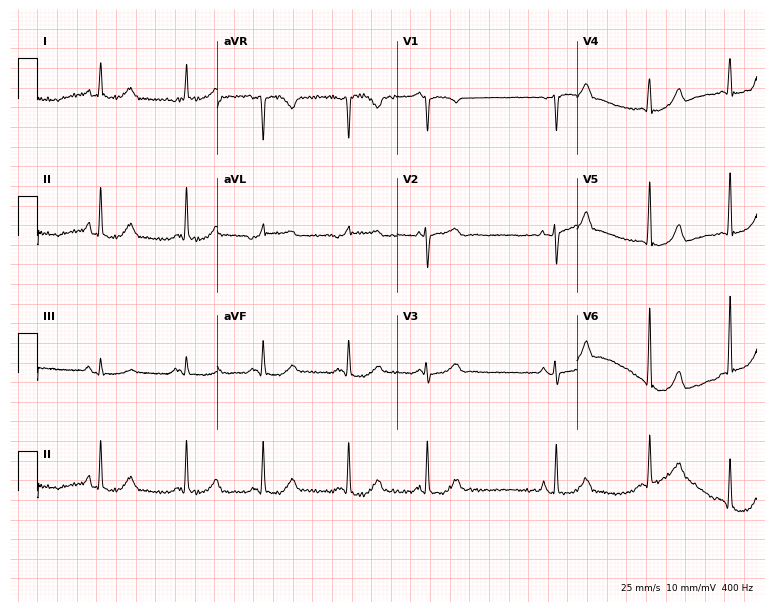
ECG — a 42-year-old female. Screened for six findings — first-degree AV block, right bundle branch block, left bundle branch block, sinus bradycardia, atrial fibrillation, sinus tachycardia — none is recorded. Other findings, if any, are not listed.